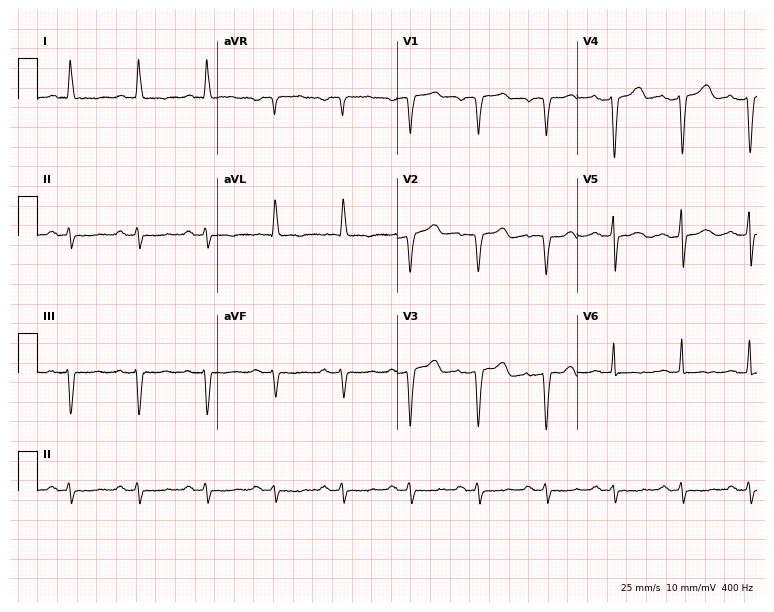
Electrocardiogram, a female, 68 years old. Of the six screened findings (first-degree AV block, right bundle branch block, left bundle branch block, sinus bradycardia, atrial fibrillation, sinus tachycardia), none is recorded.